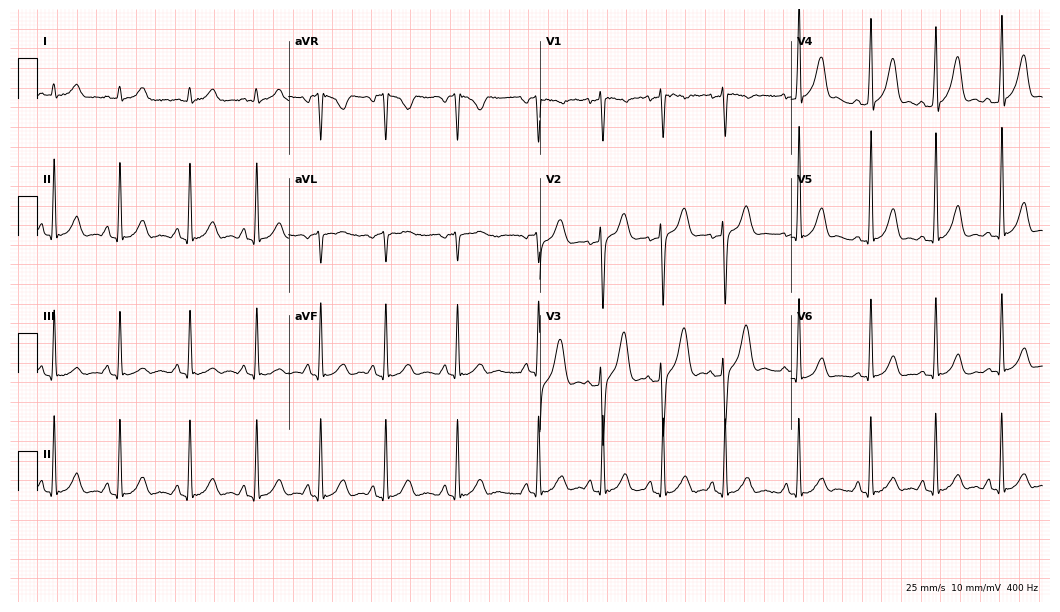
Resting 12-lead electrocardiogram. Patient: a male, 30 years old. None of these six findings is recorded: first-degree AV block, right bundle branch block (RBBB), left bundle branch block (LBBB), sinus bradycardia, atrial fibrillation (AF), sinus tachycardia. Only these six findings were labelled.